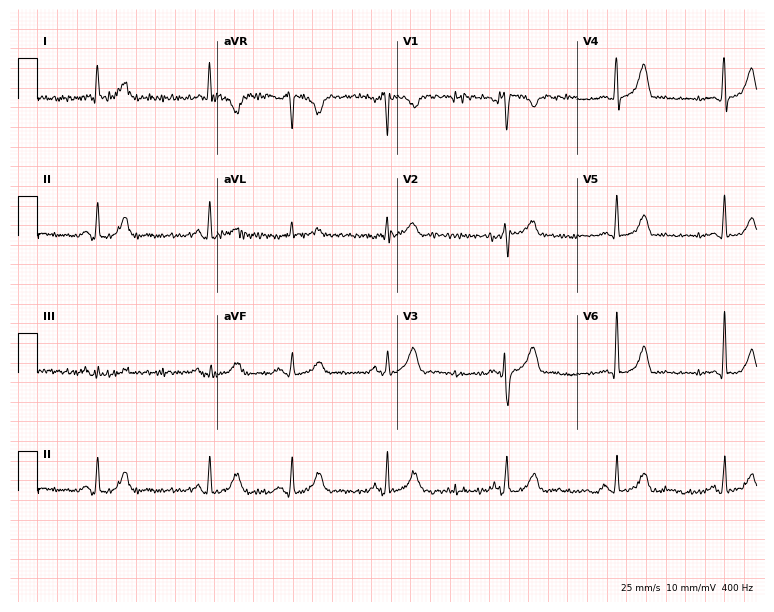
12-lead ECG from a male, 70 years old. No first-degree AV block, right bundle branch block, left bundle branch block, sinus bradycardia, atrial fibrillation or sinus tachycardia recorded for this tracing. Only these six findings were labelled.